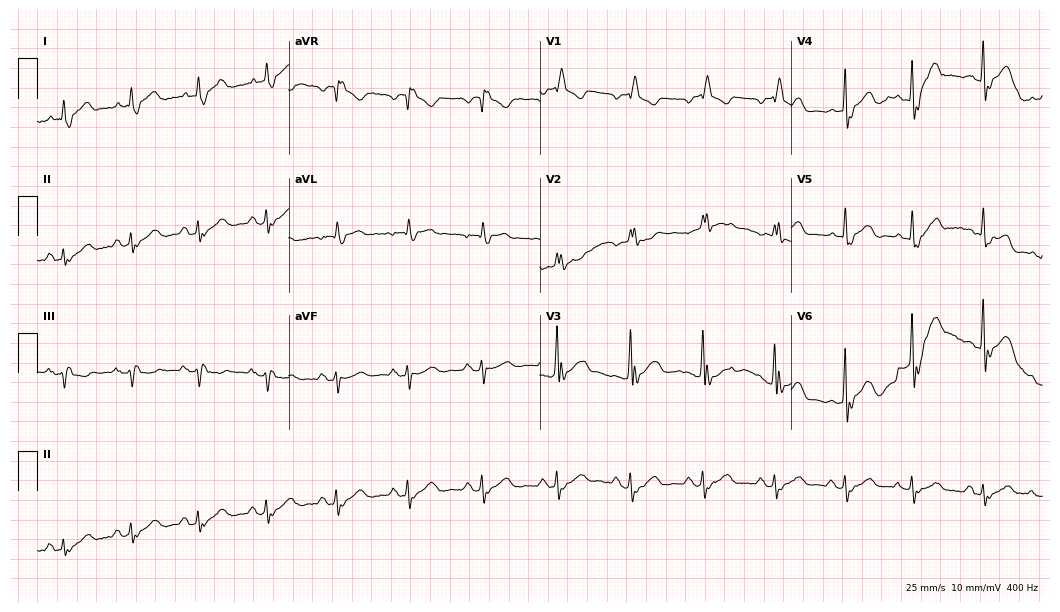
12-lead ECG from a male, 68 years old (10.2-second recording at 400 Hz). Shows right bundle branch block.